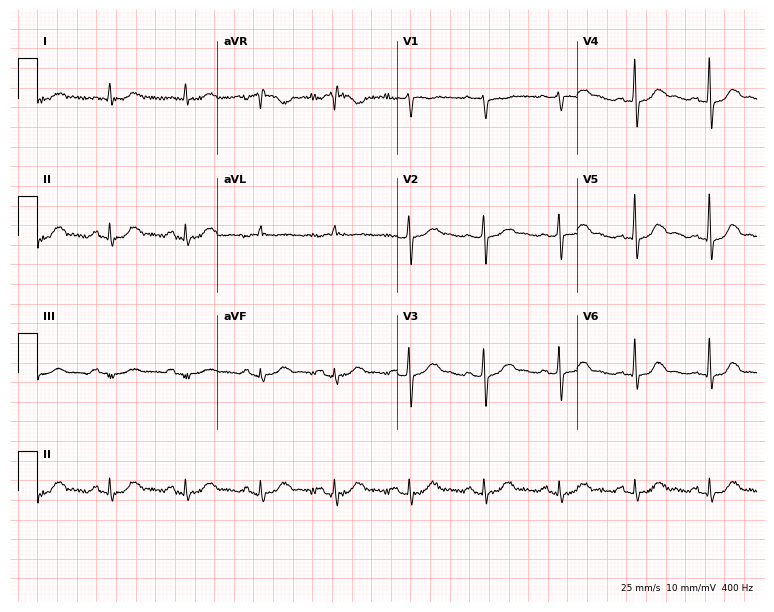
12-lead ECG from an 80-year-old man. Recorded interpretation: within normal limits.